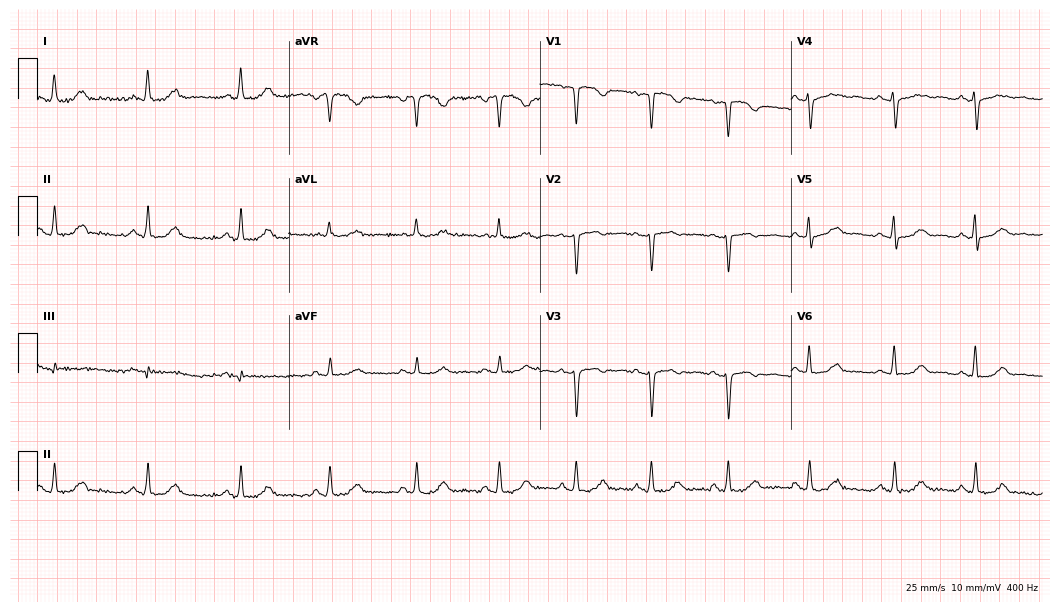
Standard 12-lead ECG recorded from a woman, 74 years old (10.2-second recording at 400 Hz). Read as a normal ECG.